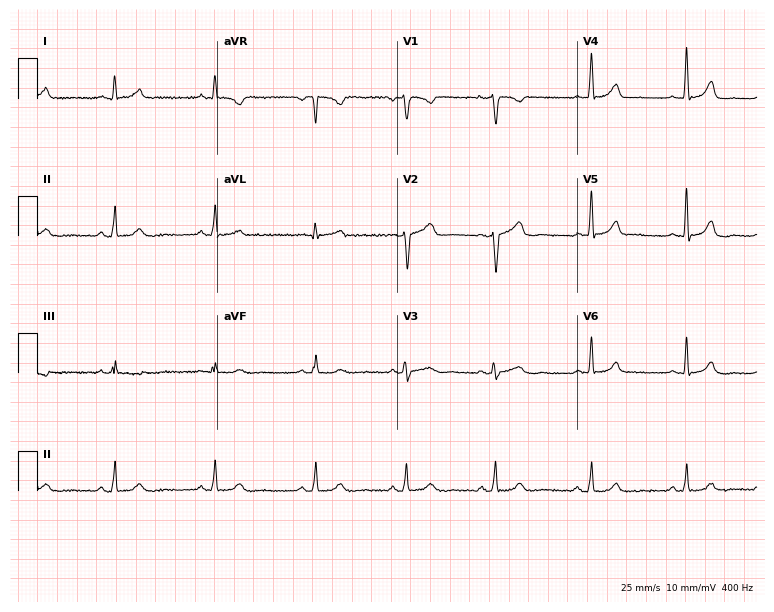
12-lead ECG from a female patient, 27 years old. Recorded interpretation: within normal limits.